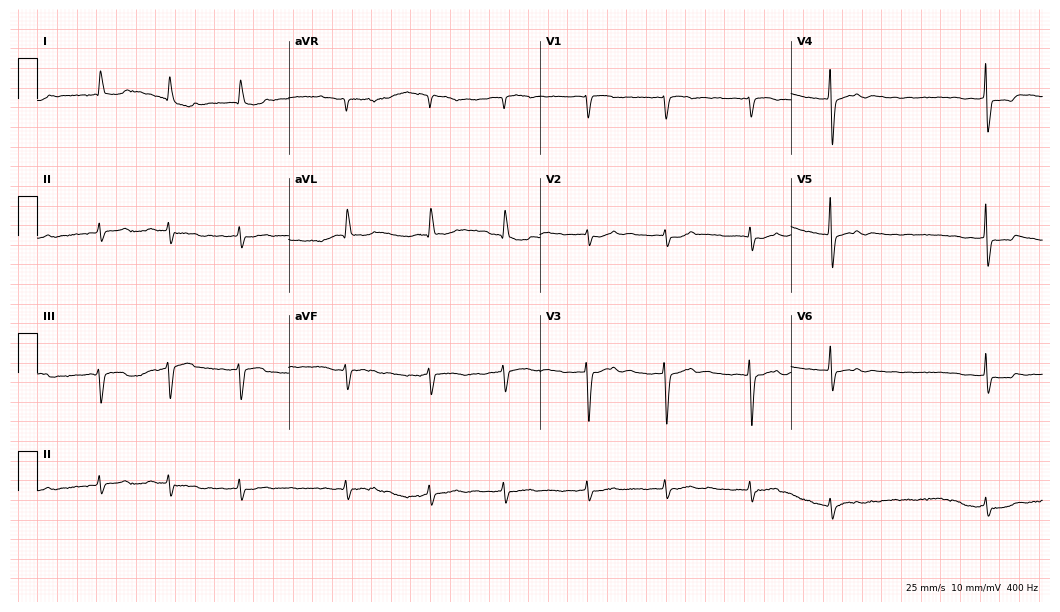
12-lead ECG (10.2-second recording at 400 Hz) from a 75-year-old female patient. Findings include atrial fibrillation.